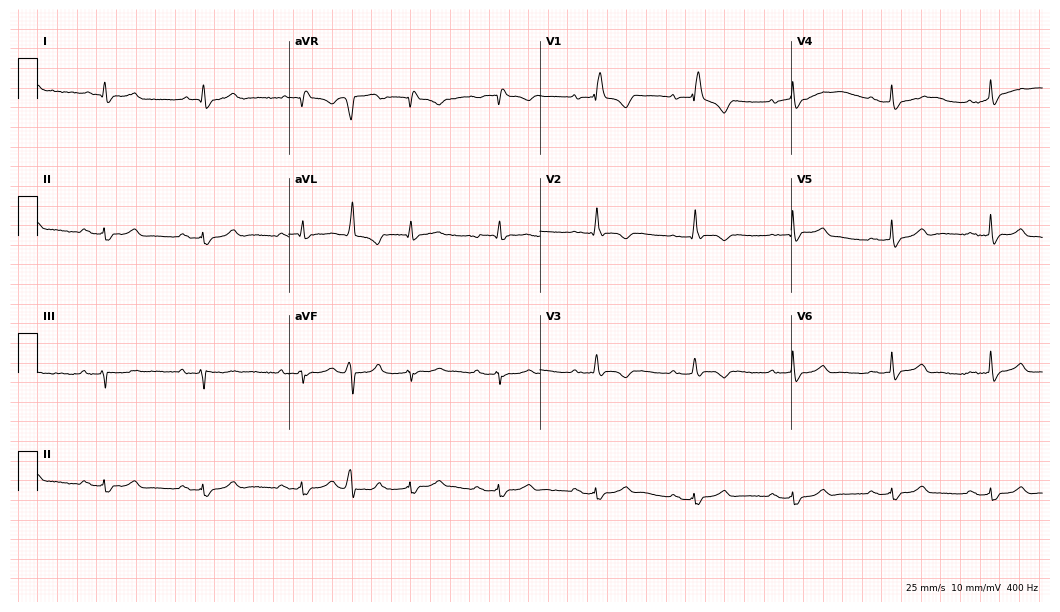
12-lead ECG from a male, 75 years old (10.2-second recording at 400 Hz). Shows right bundle branch block (RBBB).